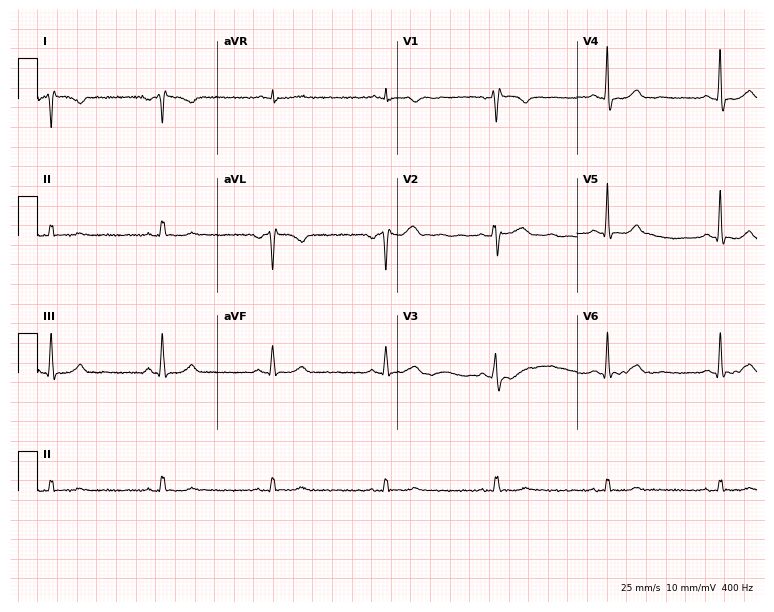
ECG — a female patient, 54 years old. Screened for six findings — first-degree AV block, right bundle branch block, left bundle branch block, sinus bradycardia, atrial fibrillation, sinus tachycardia — none is recorded.